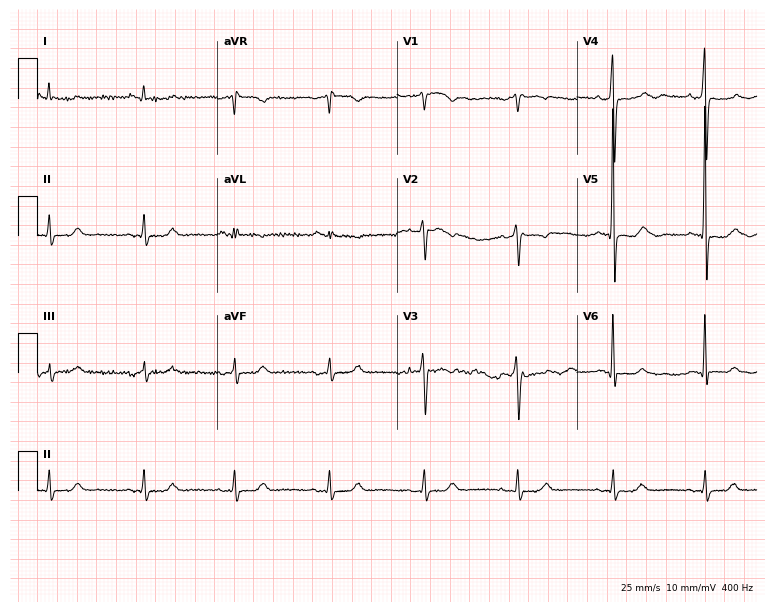
ECG (7.3-second recording at 400 Hz) — a 71-year-old male. Labelled as a normal ECG.